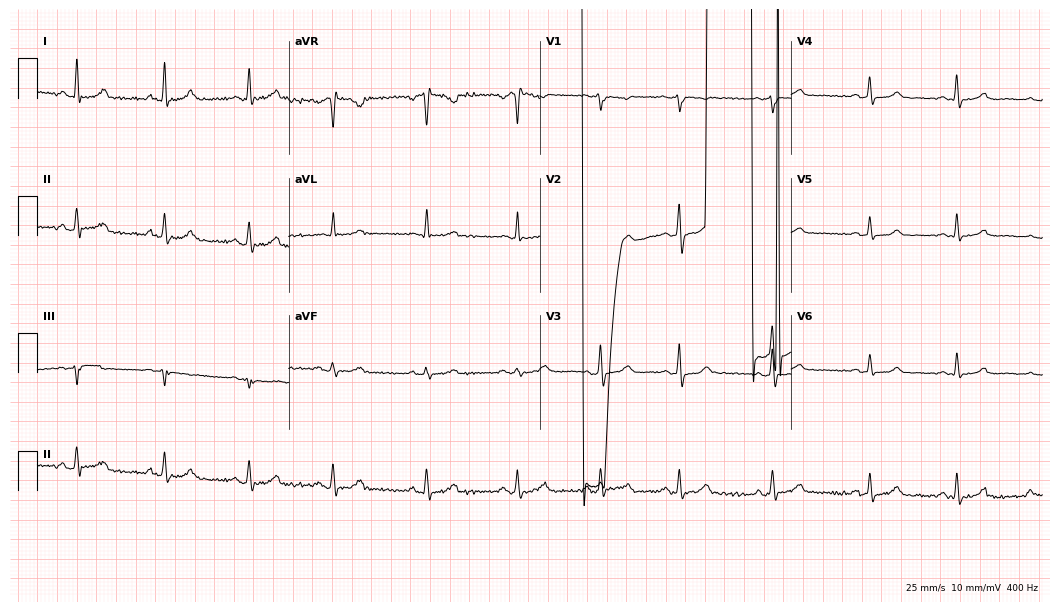
12-lead ECG (10.2-second recording at 400 Hz) from a female, 41 years old. Screened for six findings — first-degree AV block, right bundle branch block, left bundle branch block, sinus bradycardia, atrial fibrillation, sinus tachycardia — none is recorded.